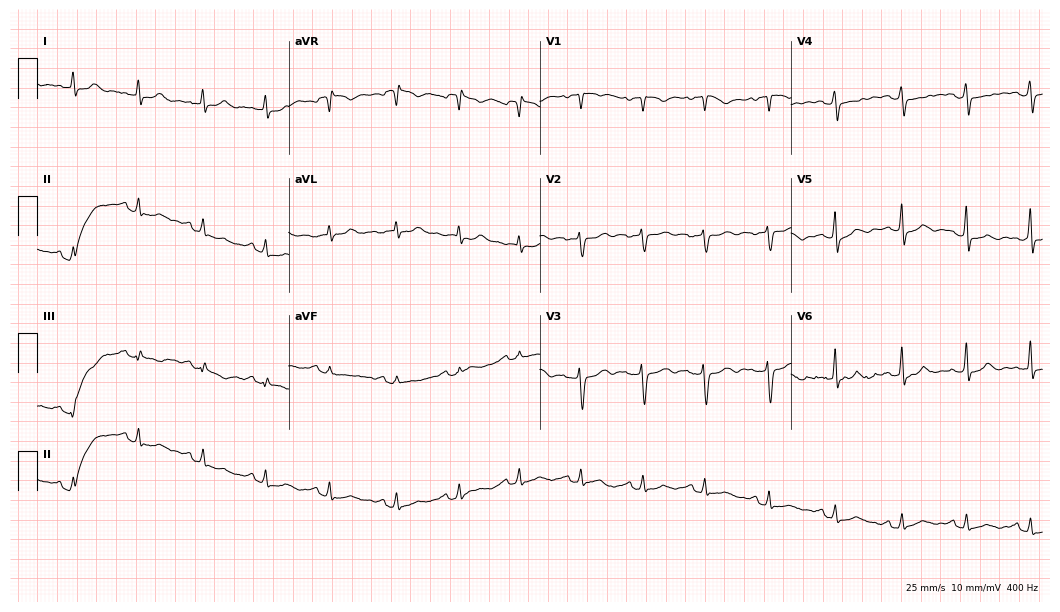
Standard 12-lead ECG recorded from a 40-year-old female. None of these six findings is recorded: first-degree AV block, right bundle branch block (RBBB), left bundle branch block (LBBB), sinus bradycardia, atrial fibrillation (AF), sinus tachycardia.